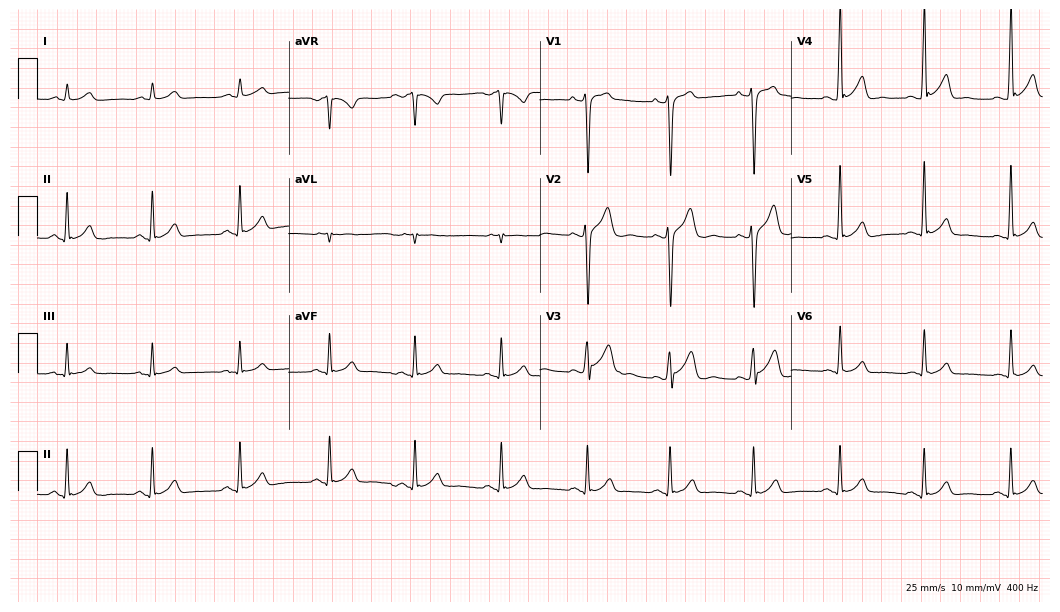
12-lead ECG (10.2-second recording at 400 Hz) from a male, 38 years old. Screened for six findings — first-degree AV block, right bundle branch block (RBBB), left bundle branch block (LBBB), sinus bradycardia, atrial fibrillation (AF), sinus tachycardia — none is recorded.